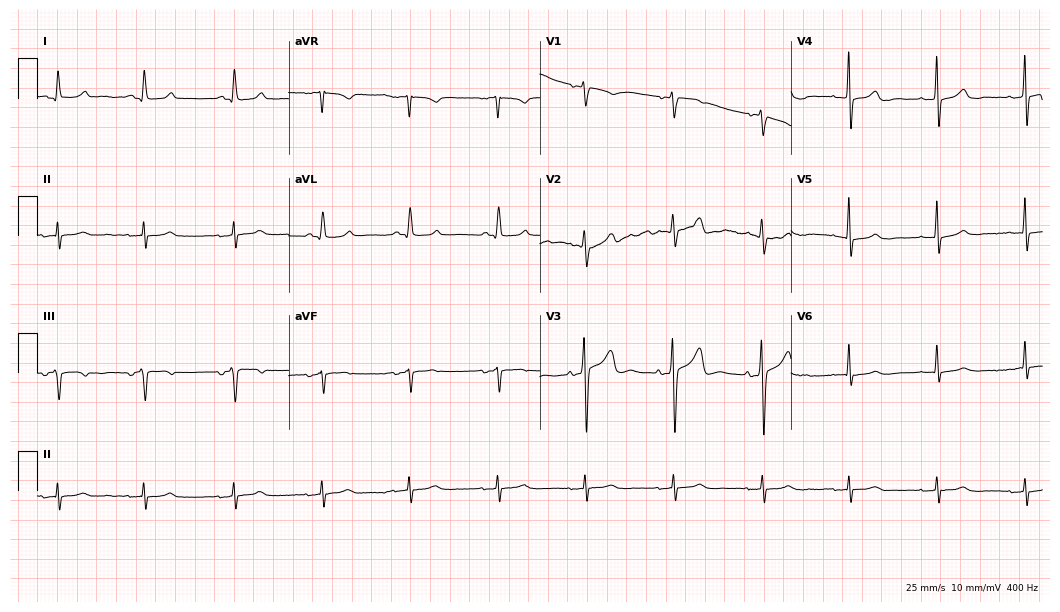
12-lead ECG from an 84-year-old woman. Screened for six findings — first-degree AV block, right bundle branch block (RBBB), left bundle branch block (LBBB), sinus bradycardia, atrial fibrillation (AF), sinus tachycardia — none is recorded.